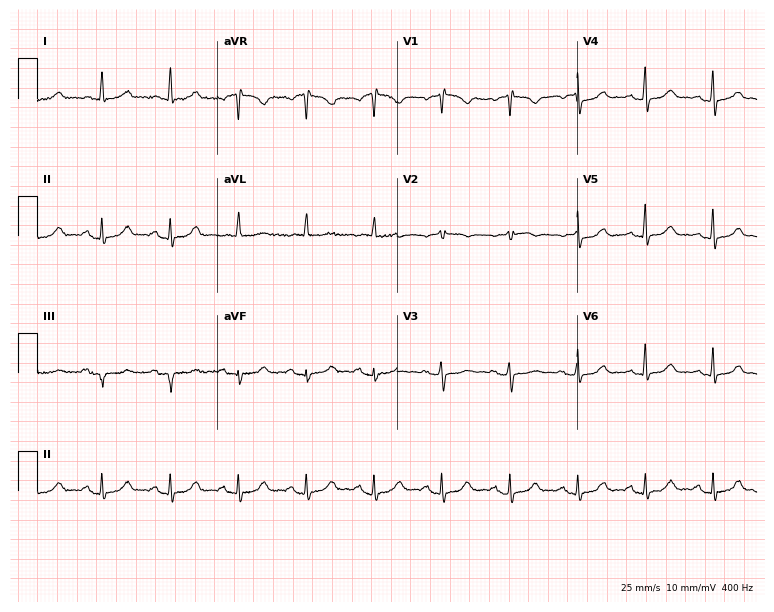
12-lead ECG from an 82-year-old female (7.3-second recording at 400 Hz). No first-degree AV block, right bundle branch block, left bundle branch block, sinus bradycardia, atrial fibrillation or sinus tachycardia recorded for this tracing.